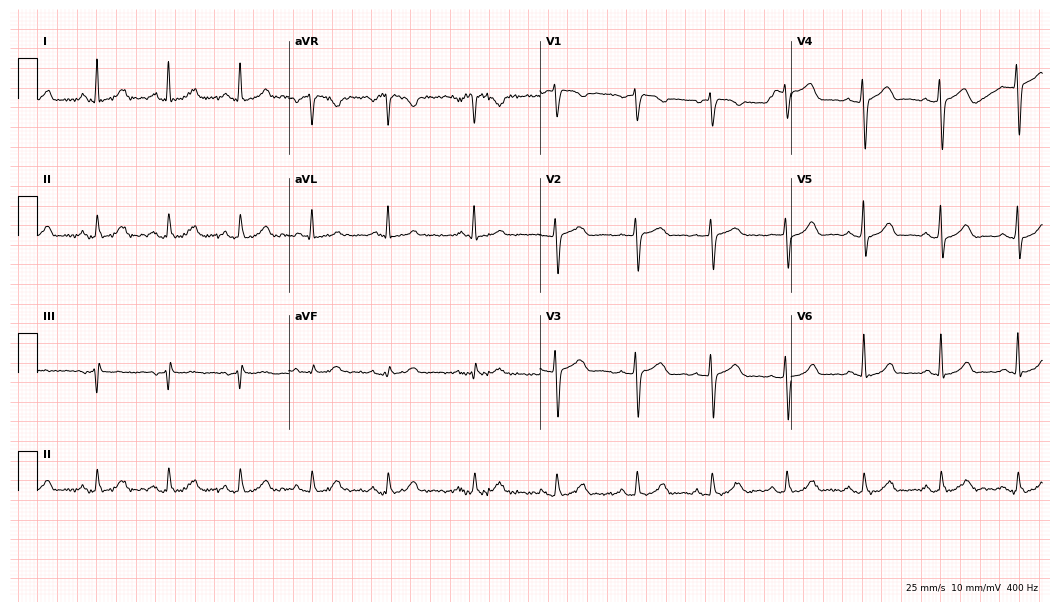
Resting 12-lead electrocardiogram (10.2-second recording at 400 Hz). Patient: a woman, 56 years old. None of these six findings is recorded: first-degree AV block, right bundle branch block, left bundle branch block, sinus bradycardia, atrial fibrillation, sinus tachycardia.